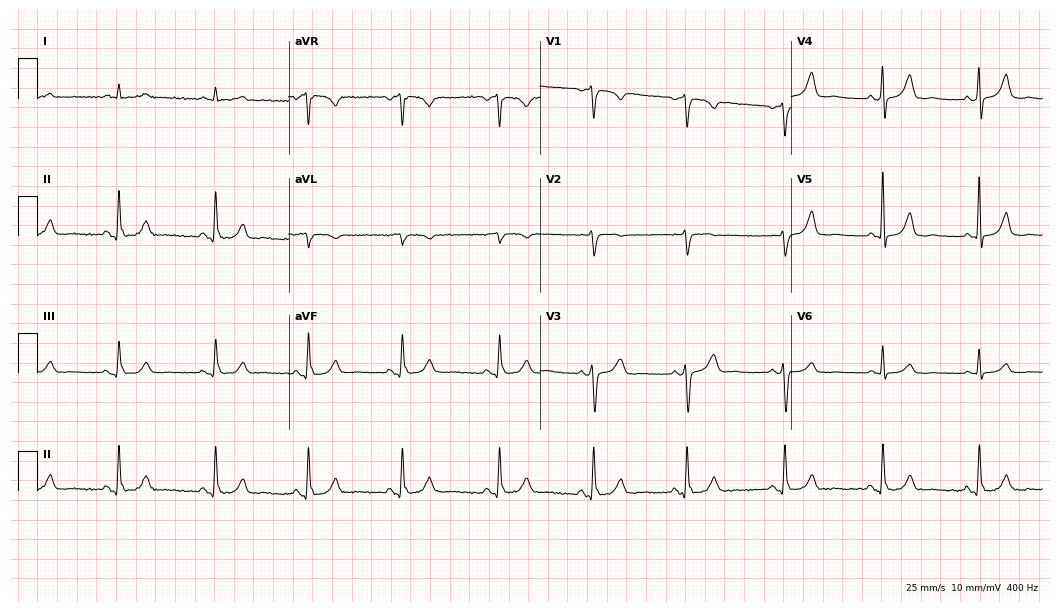
Electrocardiogram, a 67-year-old man. Overall reading on record: normal ECG.